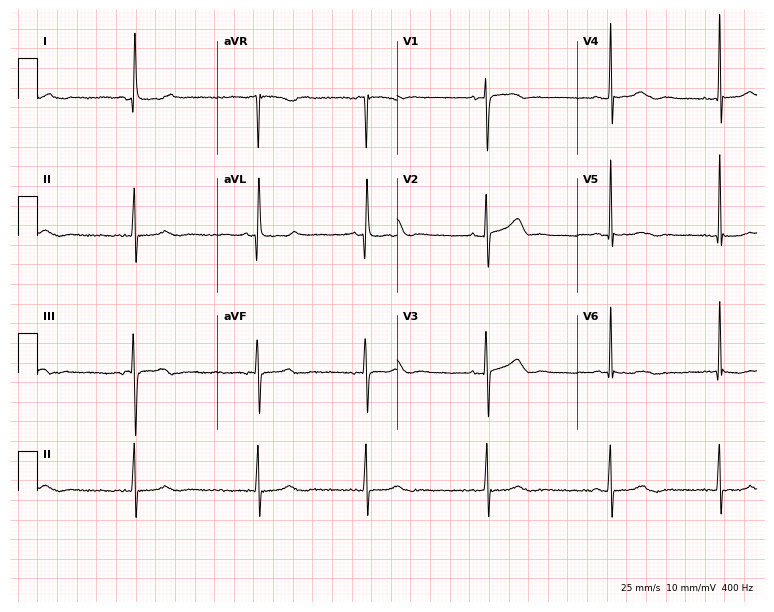
Resting 12-lead electrocardiogram. Patient: an 82-year-old woman. None of these six findings is recorded: first-degree AV block, right bundle branch block (RBBB), left bundle branch block (LBBB), sinus bradycardia, atrial fibrillation (AF), sinus tachycardia.